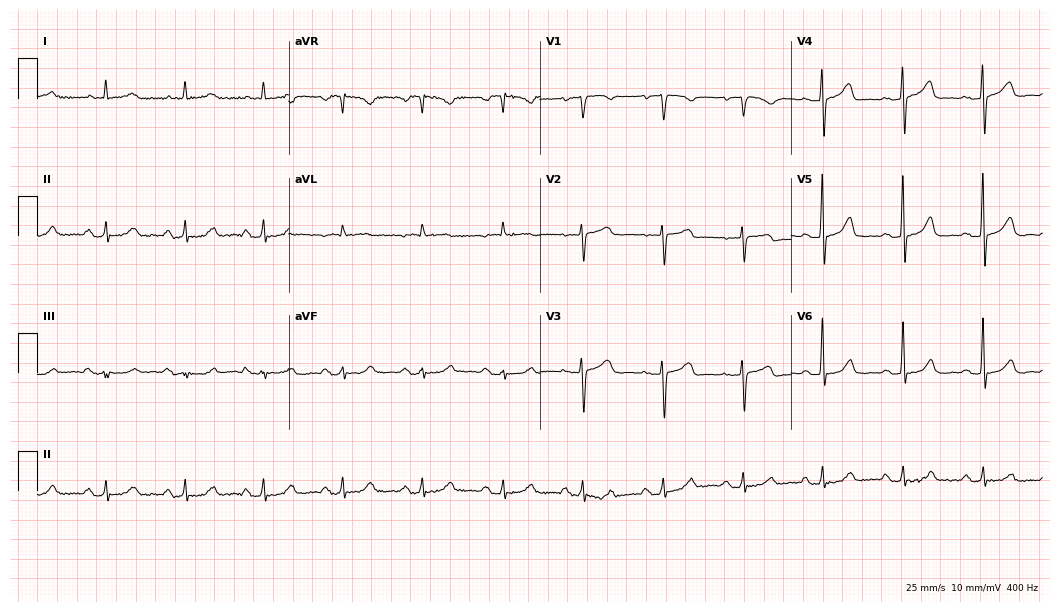
ECG (10.2-second recording at 400 Hz) — a 65-year-old female. Labelled as a normal ECG.